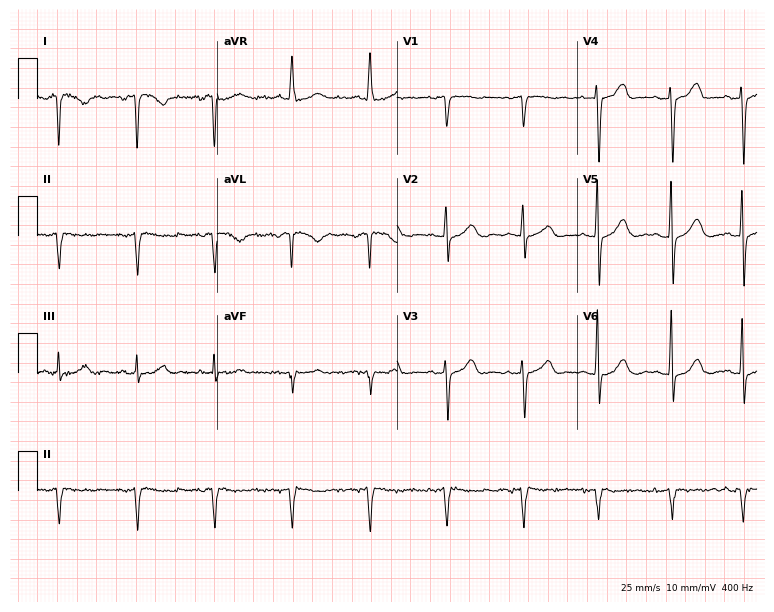
ECG (7.3-second recording at 400 Hz) — a female patient, 70 years old. Screened for six findings — first-degree AV block, right bundle branch block (RBBB), left bundle branch block (LBBB), sinus bradycardia, atrial fibrillation (AF), sinus tachycardia — none is recorded. Findings outside these six are not listed.